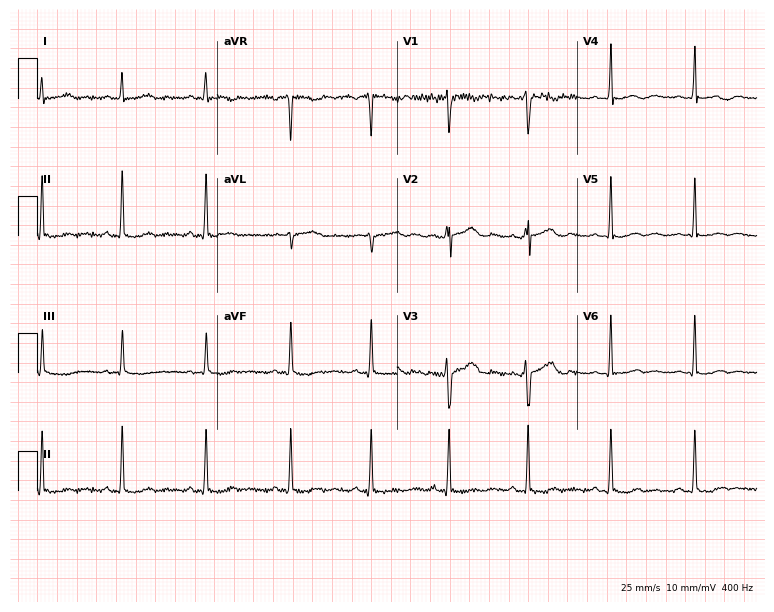
Resting 12-lead electrocardiogram. Patient: a female, 29 years old. None of these six findings is recorded: first-degree AV block, right bundle branch block, left bundle branch block, sinus bradycardia, atrial fibrillation, sinus tachycardia.